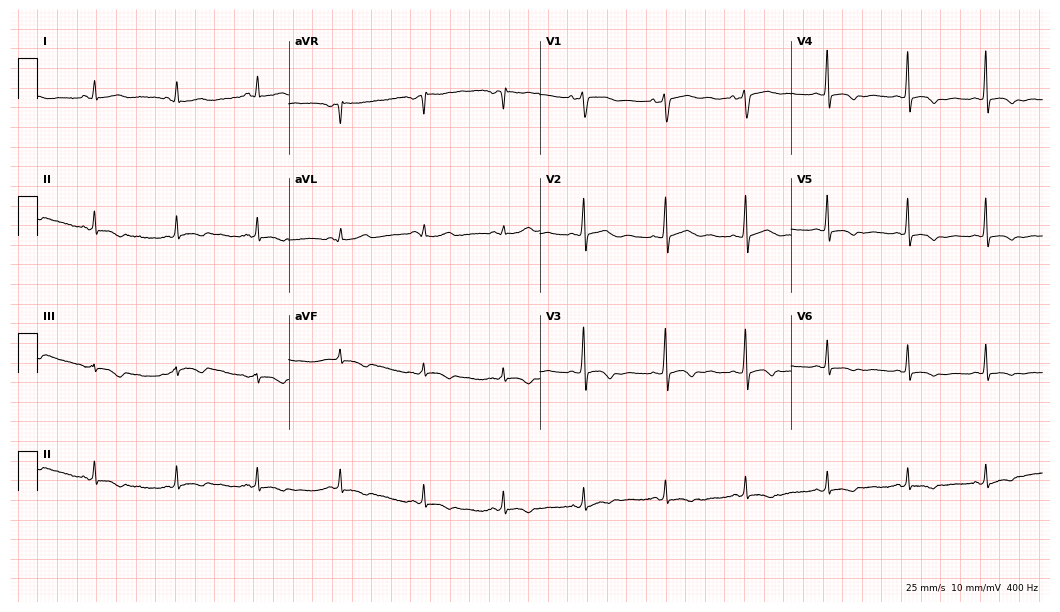
12-lead ECG from a woman, 47 years old. No first-degree AV block, right bundle branch block, left bundle branch block, sinus bradycardia, atrial fibrillation or sinus tachycardia recorded for this tracing. Findings outside these six are not listed.